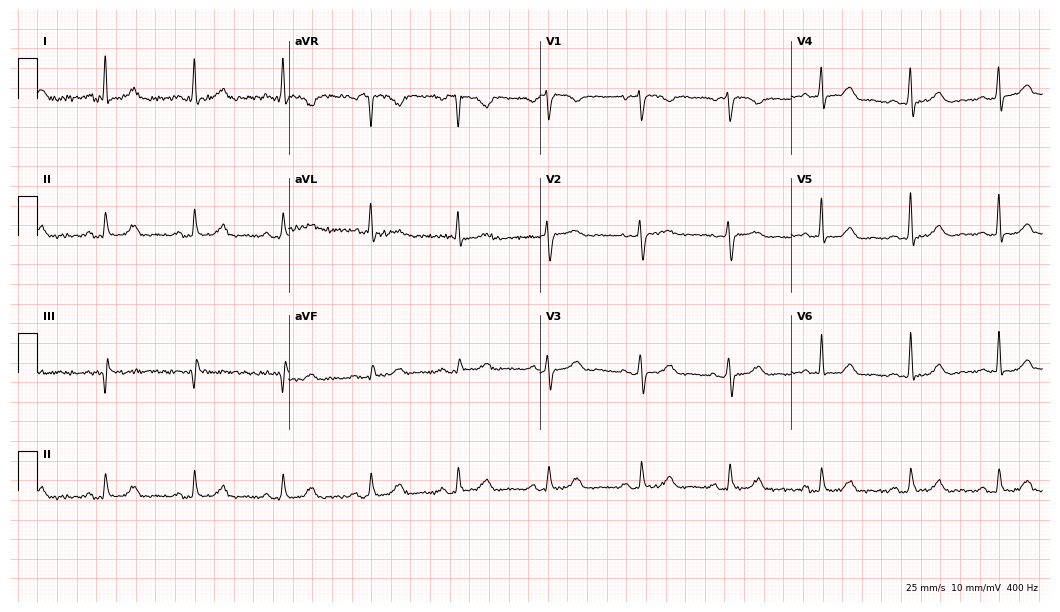
Resting 12-lead electrocardiogram. Patient: a 53-year-old female. Read as a normal ECG.